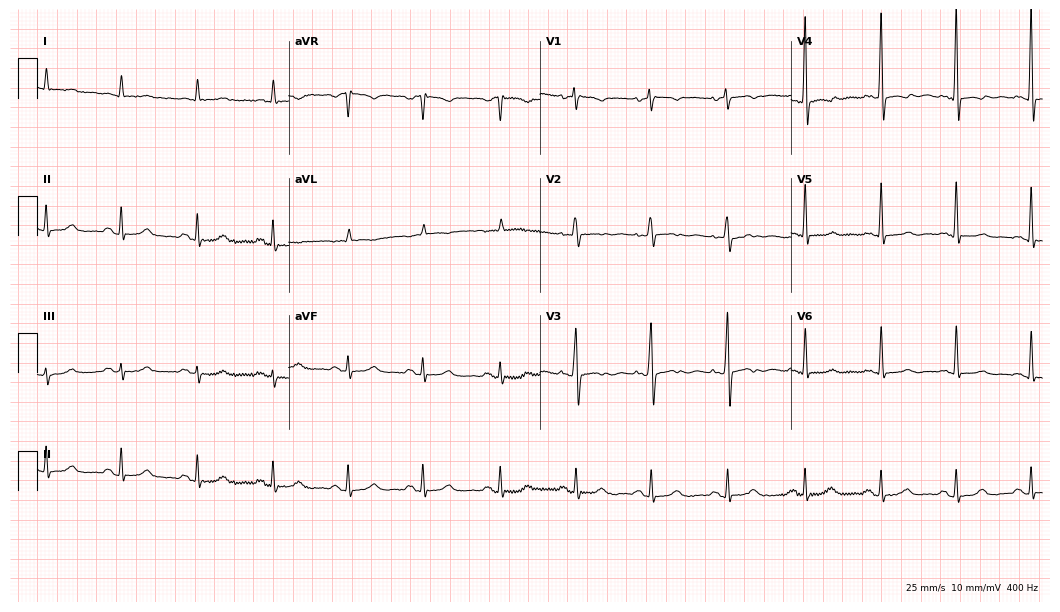
Electrocardiogram, a female patient, 85 years old. Of the six screened findings (first-degree AV block, right bundle branch block, left bundle branch block, sinus bradycardia, atrial fibrillation, sinus tachycardia), none is recorded. Only these six findings were labelled.